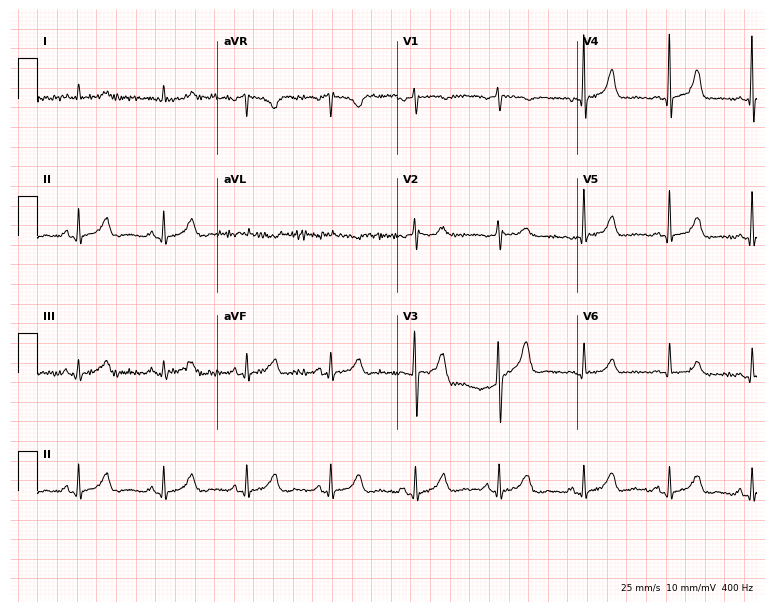
Standard 12-lead ECG recorded from a 76-year-old female patient (7.3-second recording at 400 Hz). None of these six findings is recorded: first-degree AV block, right bundle branch block, left bundle branch block, sinus bradycardia, atrial fibrillation, sinus tachycardia. Findings outside these six are not listed.